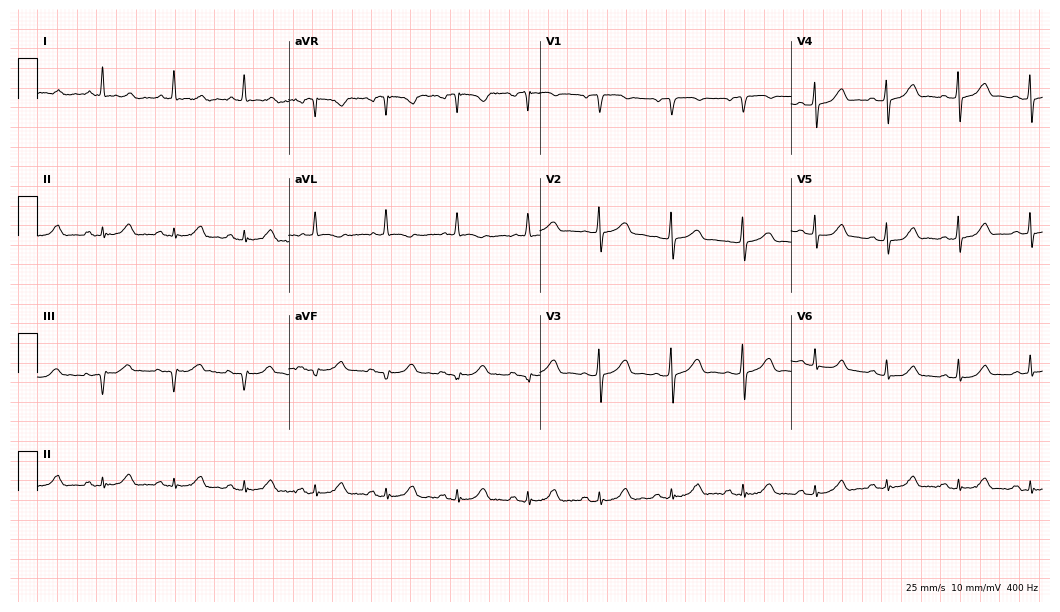
ECG (10.2-second recording at 400 Hz) — a 65-year-old female. Screened for six findings — first-degree AV block, right bundle branch block, left bundle branch block, sinus bradycardia, atrial fibrillation, sinus tachycardia — none is recorded.